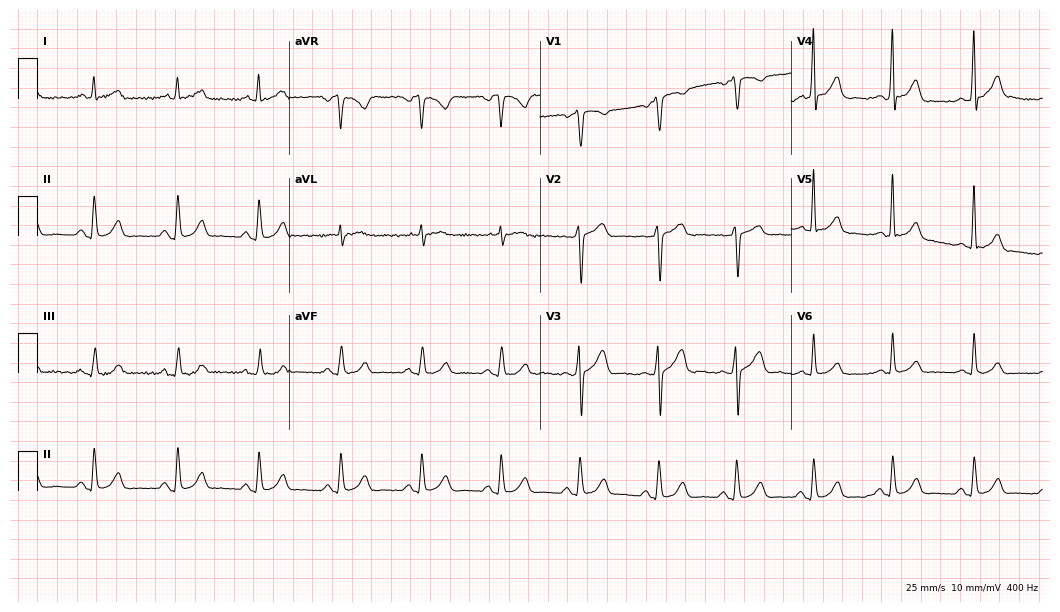
Electrocardiogram, a male, 55 years old. Overall reading on record: normal ECG.